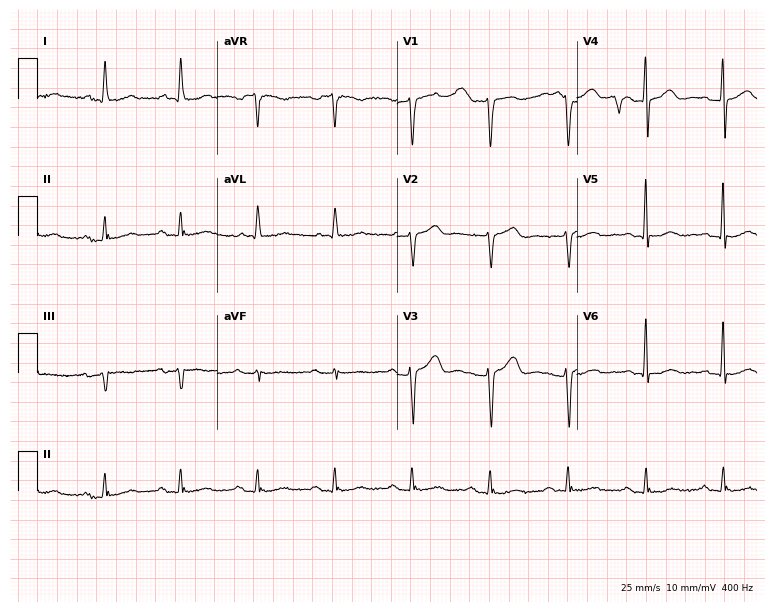
Standard 12-lead ECG recorded from a 57-year-old man (7.3-second recording at 400 Hz). None of these six findings is recorded: first-degree AV block, right bundle branch block, left bundle branch block, sinus bradycardia, atrial fibrillation, sinus tachycardia.